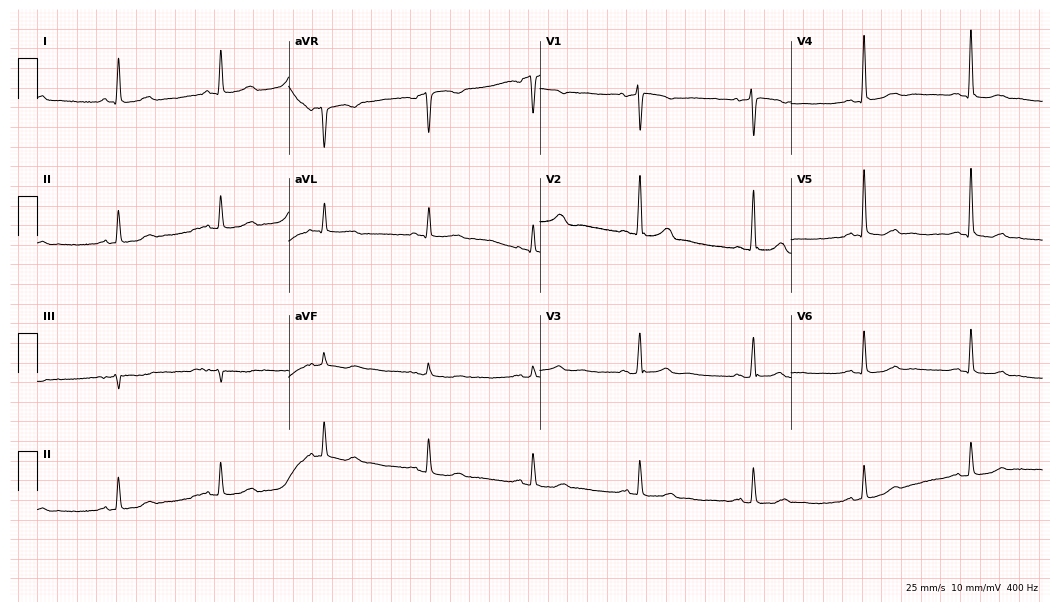
Electrocardiogram (10.2-second recording at 400 Hz), a female patient, 78 years old. Overall reading on record: normal ECG.